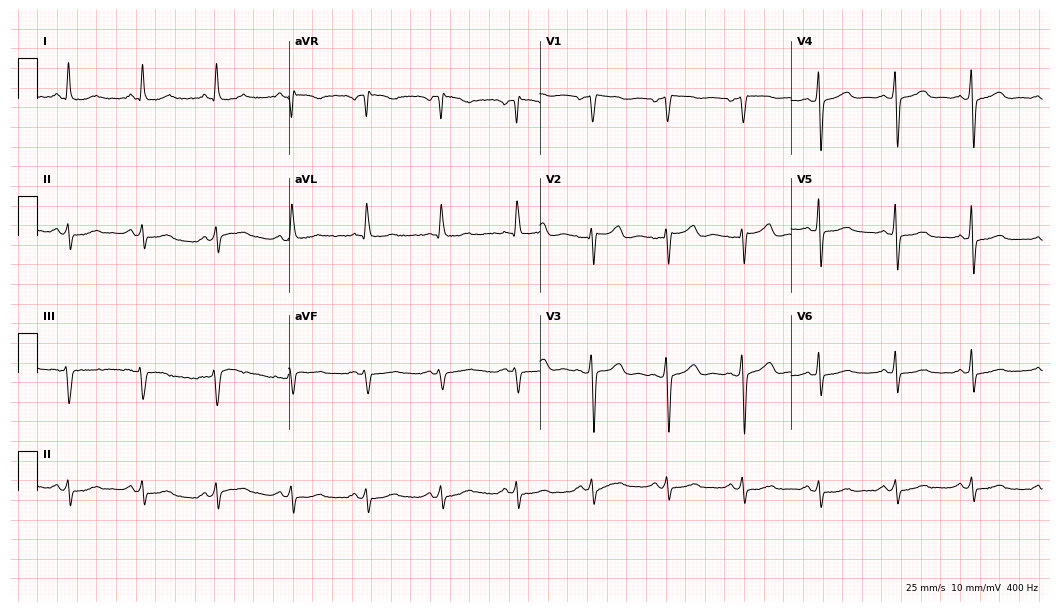
12-lead ECG from a 61-year-old female patient (10.2-second recording at 400 Hz). No first-degree AV block, right bundle branch block (RBBB), left bundle branch block (LBBB), sinus bradycardia, atrial fibrillation (AF) or sinus tachycardia recorded for this tracing.